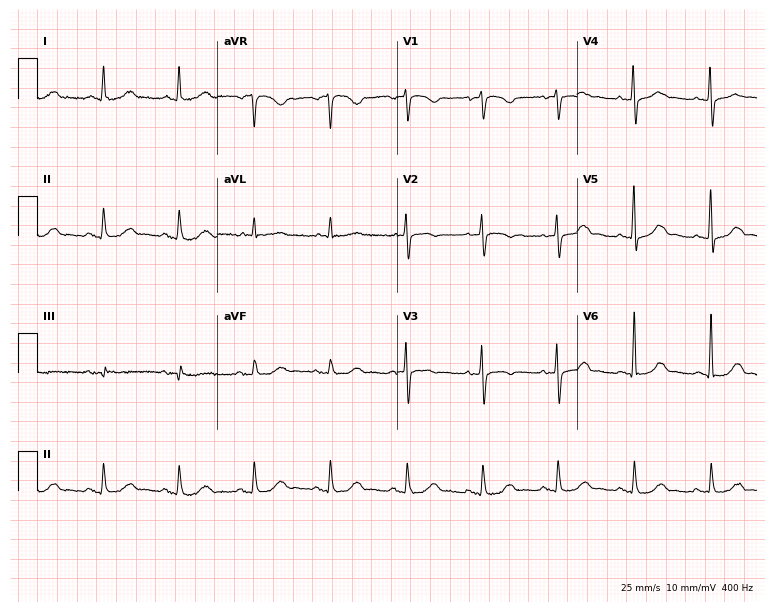
Standard 12-lead ECG recorded from a female, 78 years old (7.3-second recording at 400 Hz). Read as a normal ECG.